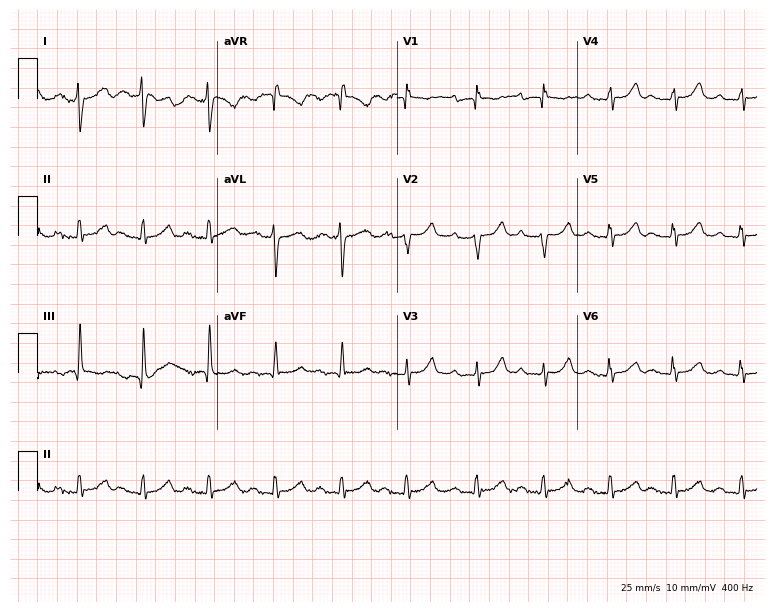
Standard 12-lead ECG recorded from a female patient, 72 years old (7.3-second recording at 400 Hz). The tracing shows first-degree AV block.